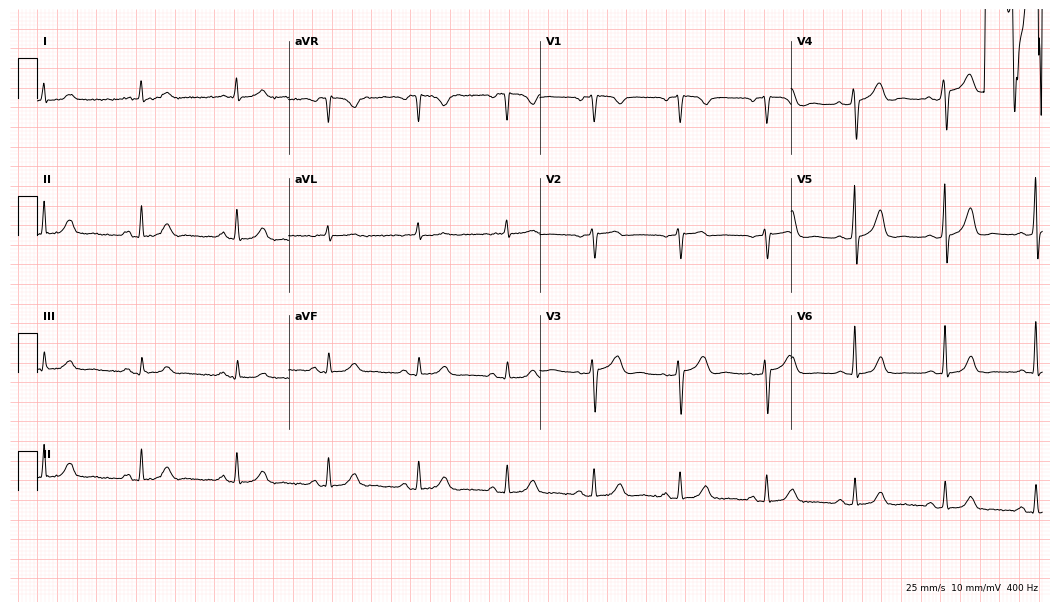
12-lead ECG from a man, 67 years old (10.2-second recording at 400 Hz). No first-degree AV block, right bundle branch block (RBBB), left bundle branch block (LBBB), sinus bradycardia, atrial fibrillation (AF) or sinus tachycardia recorded for this tracing. Only these six findings were labelled.